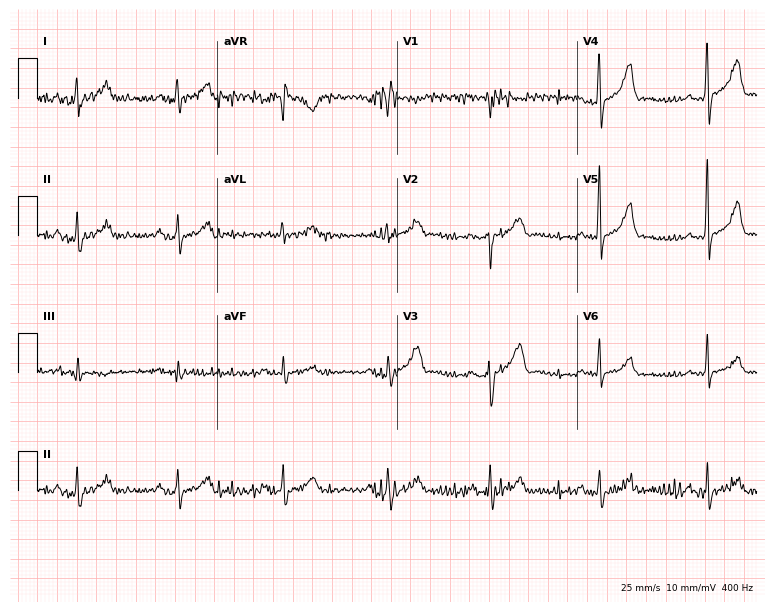
12-lead ECG (7.3-second recording at 400 Hz) from a 29-year-old male patient. Screened for six findings — first-degree AV block, right bundle branch block, left bundle branch block, sinus bradycardia, atrial fibrillation, sinus tachycardia — none is recorded.